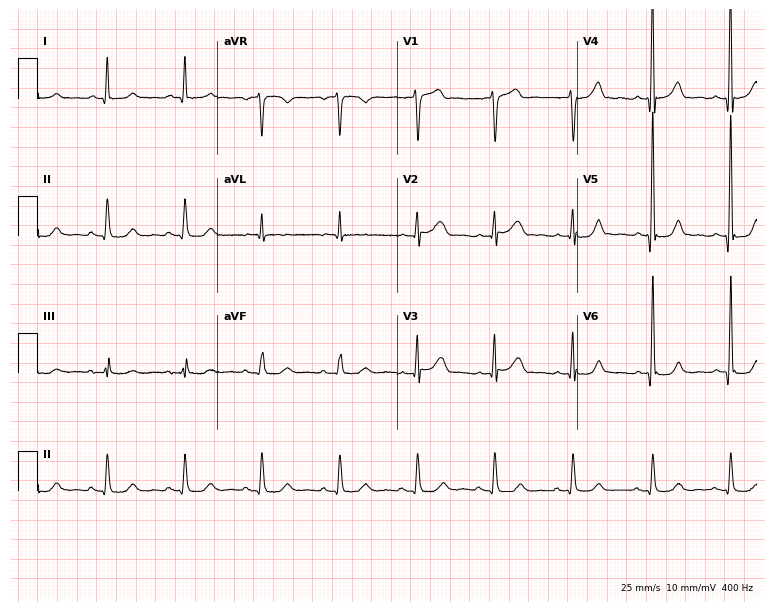
12-lead ECG from a 77-year-old man. Labelled as a normal ECG.